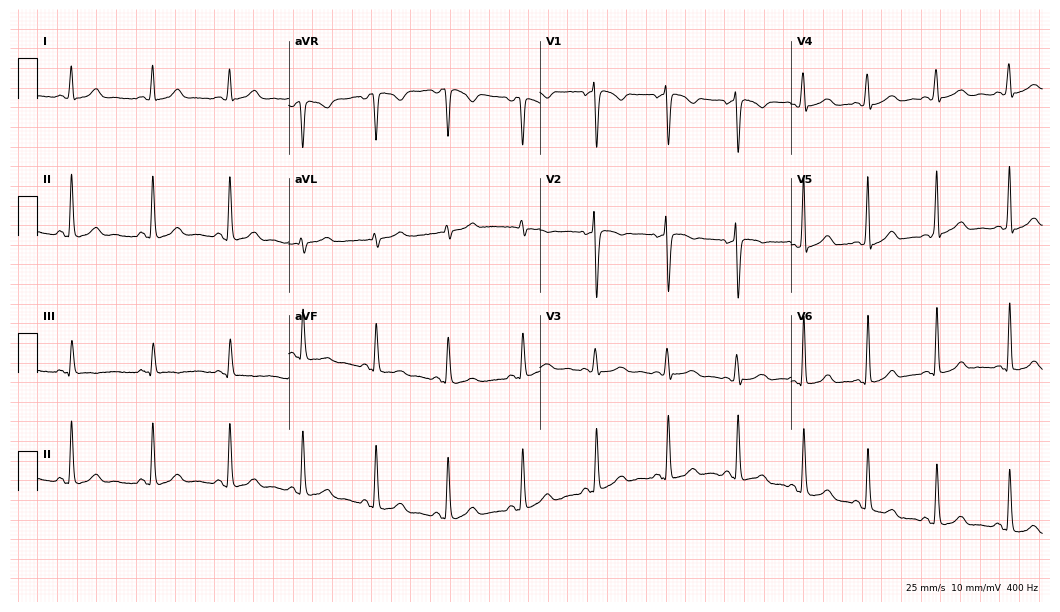
Resting 12-lead electrocardiogram. Patient: a woman, 36 years old. None of these six findings is recorded: first-degree AV block, right bundle branch block (RBBB), left bundle branch block (LBBB), sinus bradycardia, atrial fibrillation (AF), sinus tachycardia.